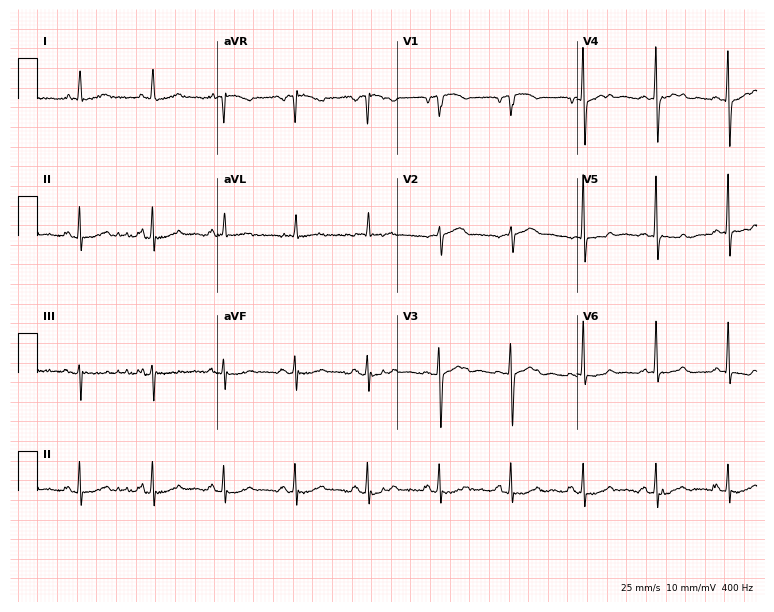
Resting 12-lead electrocardiogram. Patient: a woman, 75 years old. None of these six findings is recorded: first-degree AV block, right bundle branch block (RBBB), left bundle branch block (LBBB), sinus bradycardia, atrial fibrillation (AF), sinus tachycardia.